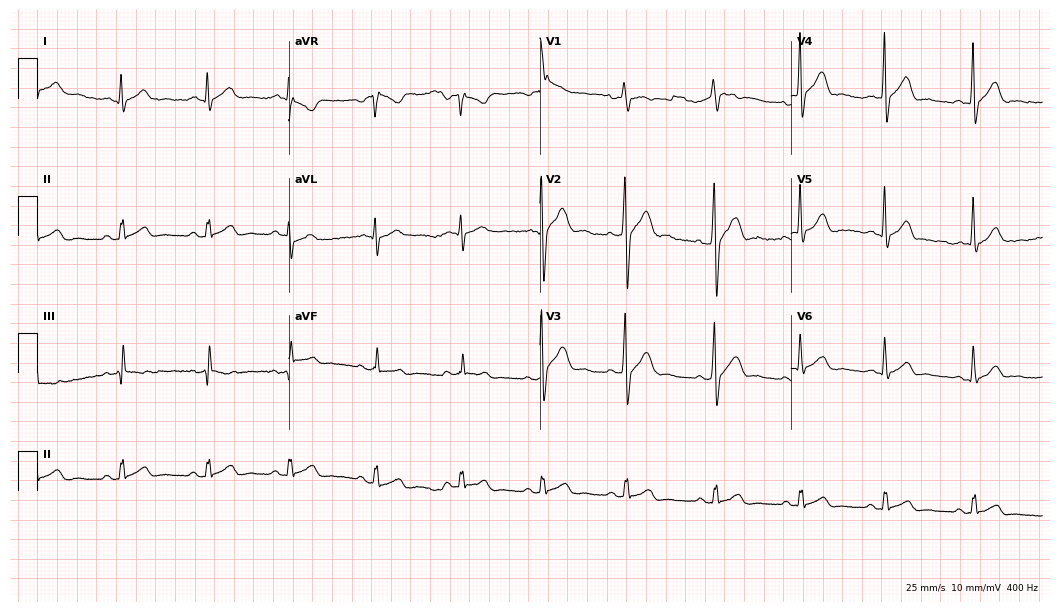
Standard 12-lead ECG recorded from a 21-year-old man. Read as a normal ECG.